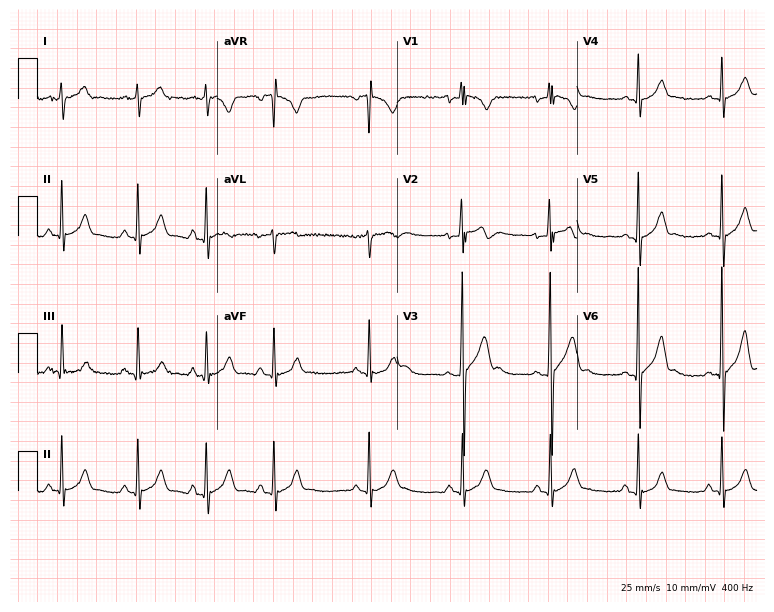
12-lead ECG from a man, 17 years old (7.3-second recording at 400 Hz). No first-degree AV block, right bundle branch block (RBBB), left bundle branch block (LBBB), sinus bradycardia, atrial fibrillation (AF) or sinus tachycardia recorded for this tracing.